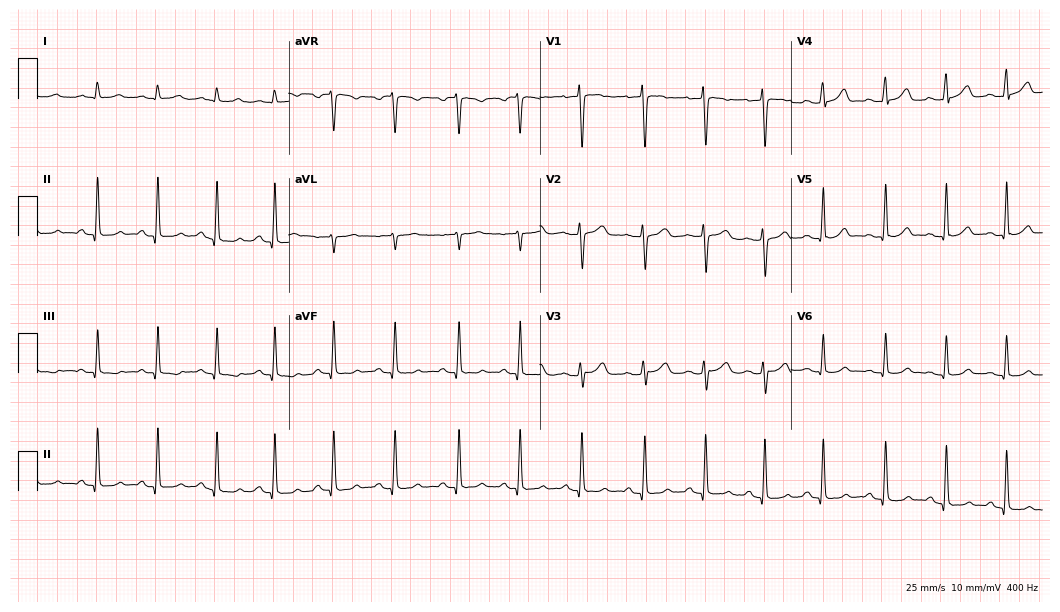
ECG (10.2-second recording at 400 Hz) — a woman, 17 years old. Labelled as a normal ECG.